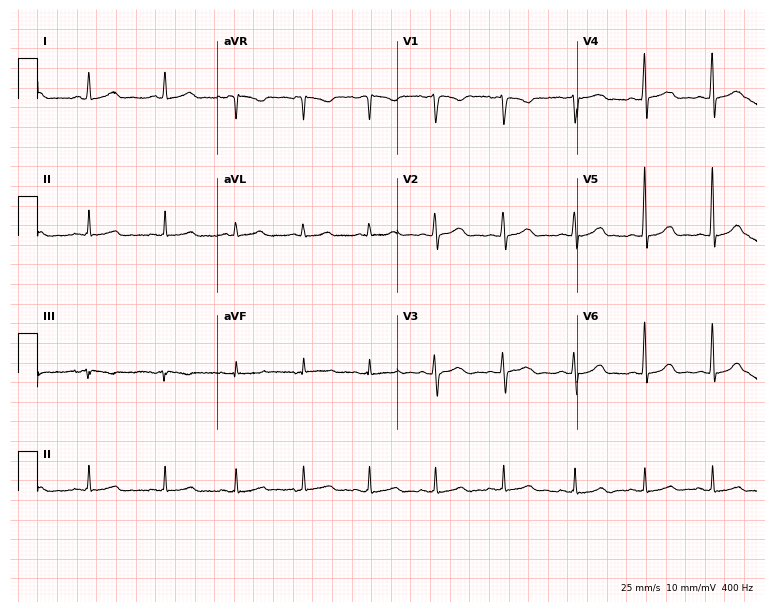
12-lead ECG from a 41-year-old female patient. Recorded interpretation: within normal limits.